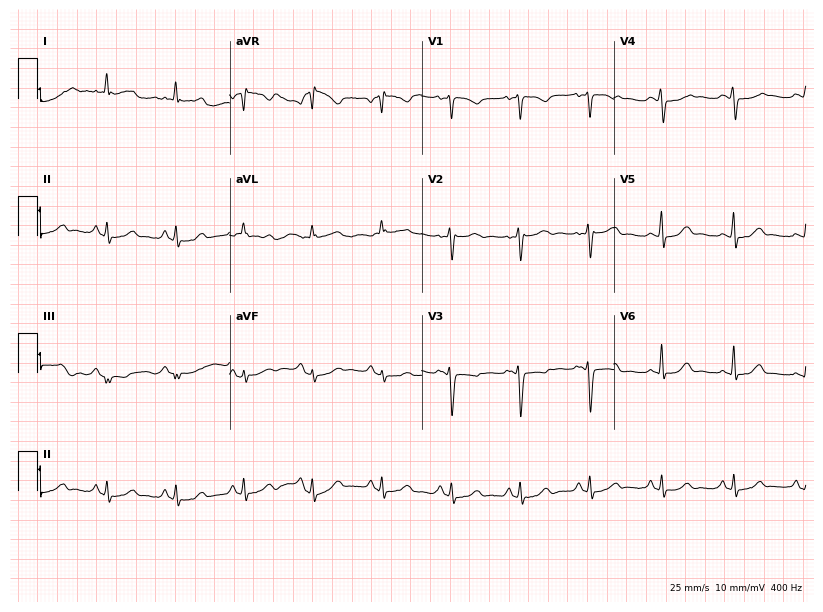
12-lead ECG from a 22-year-old woman (7.8-second recording at 400 Hz). Recorded interpretation: within normal limits.